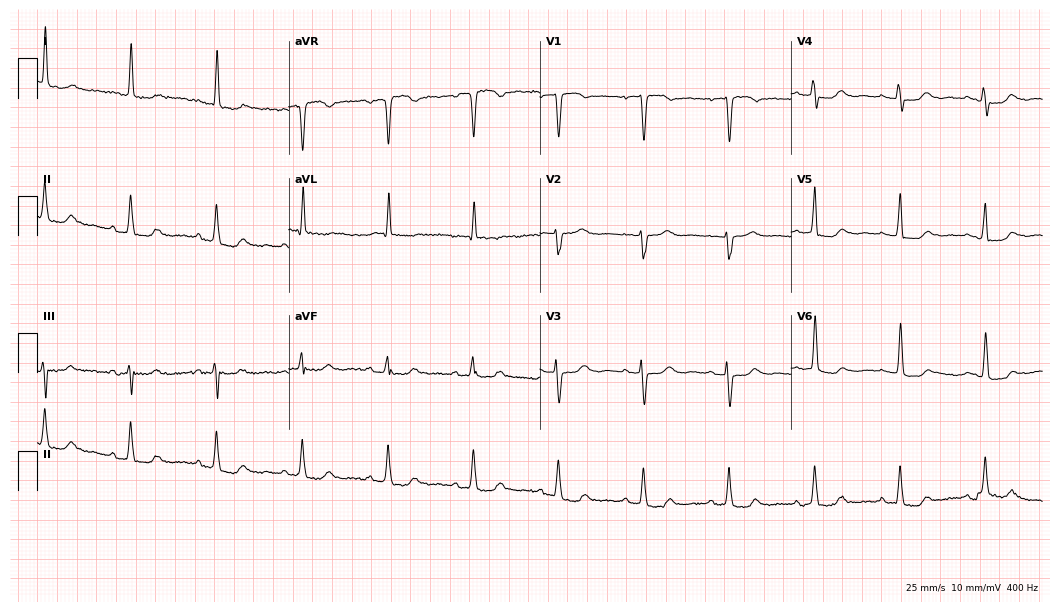
Electrocardiogram (10.2-second recording at 400 Hz), a female, 83 years old. Of the six screened findings (first-degree AV block, right bundle branch block, left bundle branch block, sinus bradycardia, atrial fibrillation, sinus tachycardia), none is recorded. Other findings, if any, are not listed.